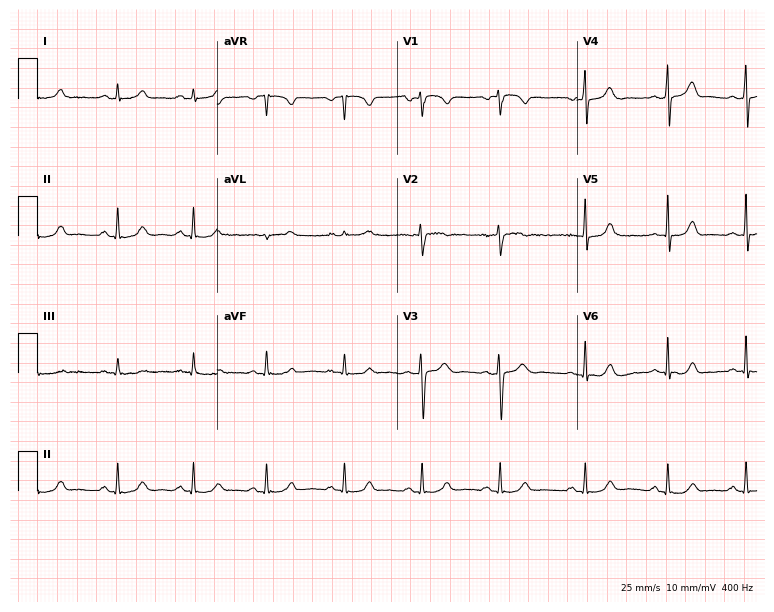
12-lead ECG from a 25-year-old female patient (7.3-second recording at 400 Hz). No first-degree AV block, right bundle branch block (RBBB), left bundle branch block (LBBB), sinus bradycardia, atrial fibrillation (AF) or sinus tachycardia recorded for this tracing. Other findings, if any, are not listed.